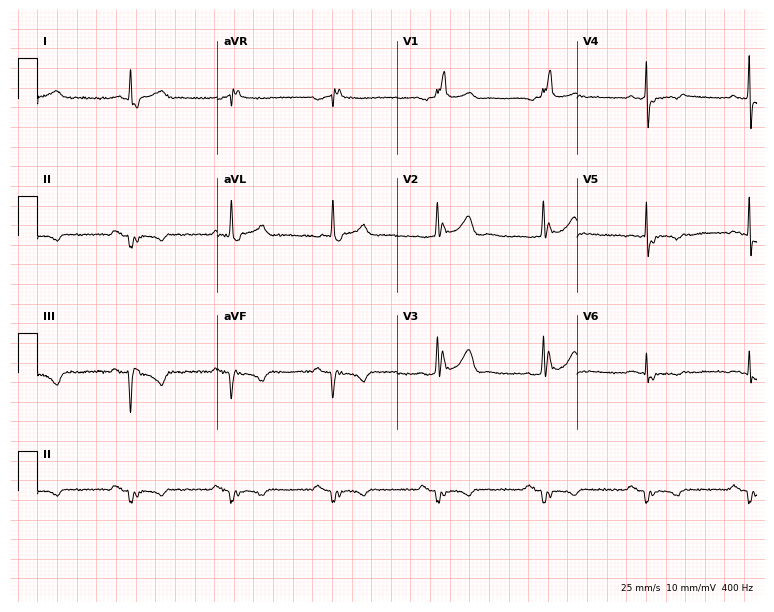
Standard 12-lead ECG recorded from a 72-year-old male (7.3-second recording at 400 Hz). None of these six findings is recorded: first-degree AV block, right bundle branch block, left bundle branch block, sinus bradycardia, atrial fibrillation, sinus tachycardia. Only these six findings were labelled.